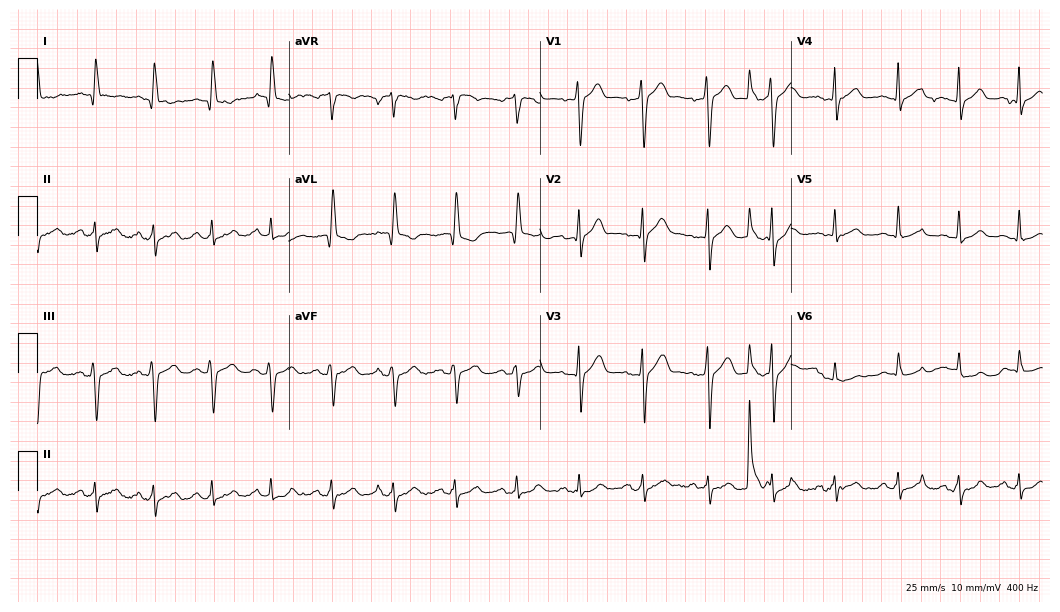
Standard 12-lead ECG recorded from a 79-year-old male. None of these six findings is recorded: first-degree AV block, right bundle branch block, left bundle branch block, sinus bradycardia, atrial fibrillation, sinus tachycardia. Other findings, if any, are not listed.